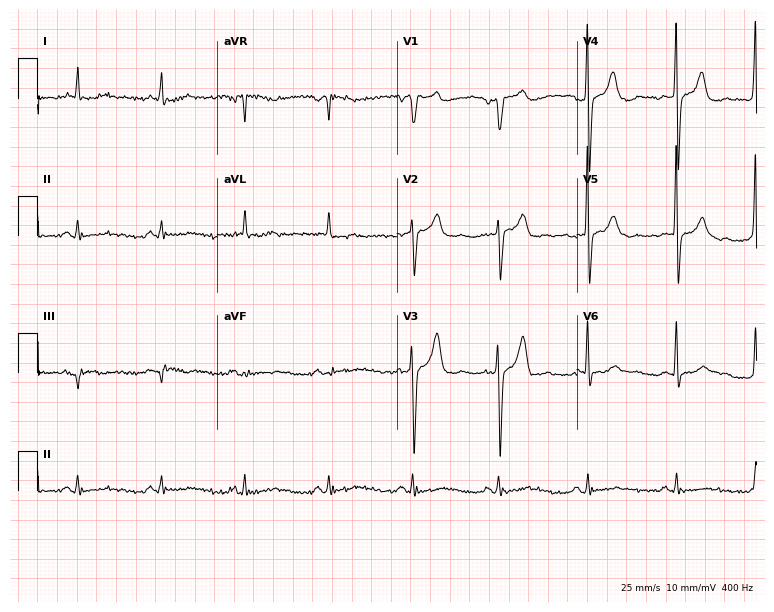
12-lead ECG from a male, 40 years old. Labelled as a normal ECG.